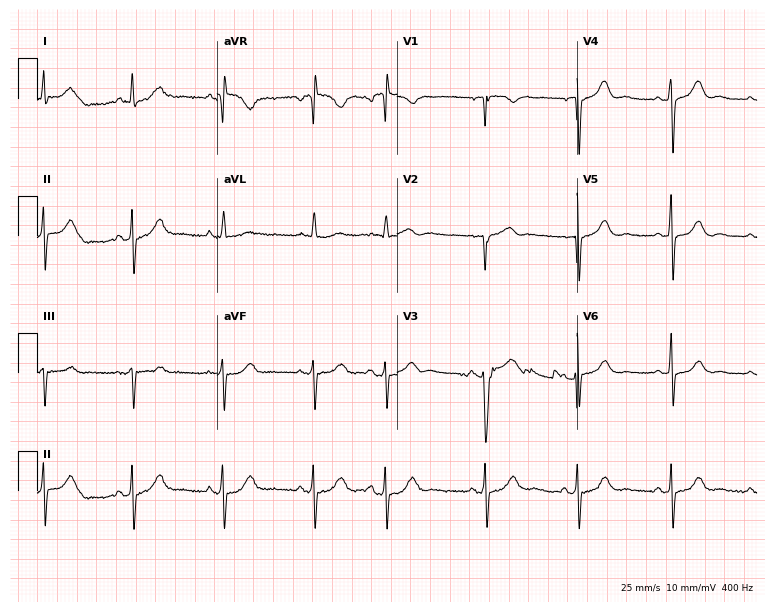
Electrocardiogram, a 76-year-old female. Overall reading on record: normal ECG.